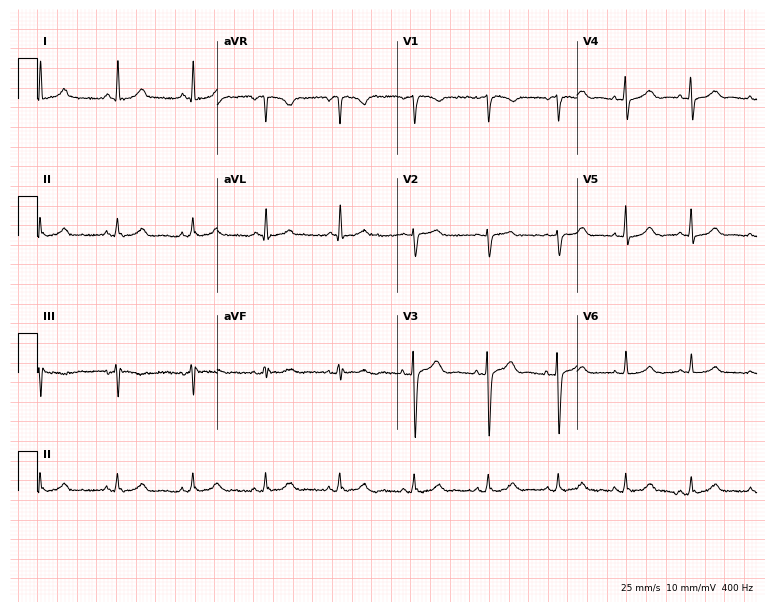
12-lead ECG from a 37-year-old female. Recorded interpretation: within normal limits.